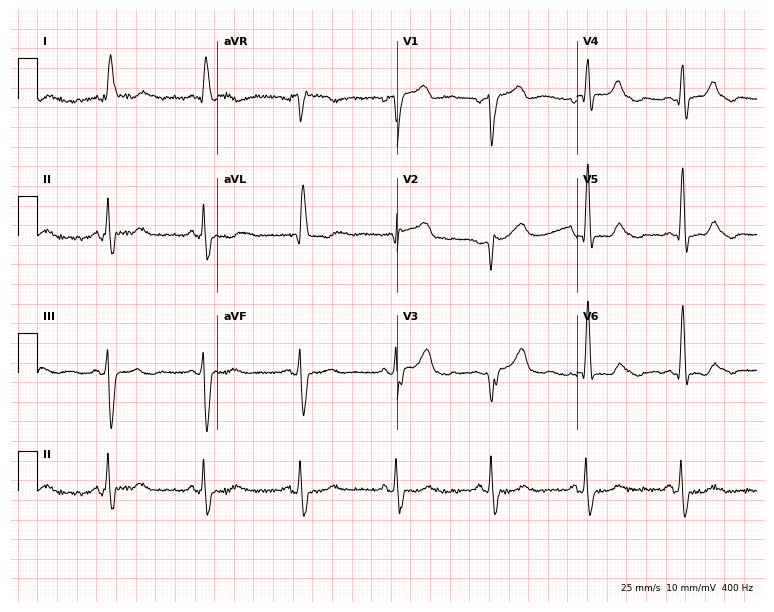
Resting 12-lead electrocardiogram. Patient: a male, 76 years old. None of these six findings is recorded: first-degree AV block, right bundle branch block, left bundle branch block, sinus bradycardia, atrial fibrillation, sinus tachycardia. Findings outside these six are not listed.